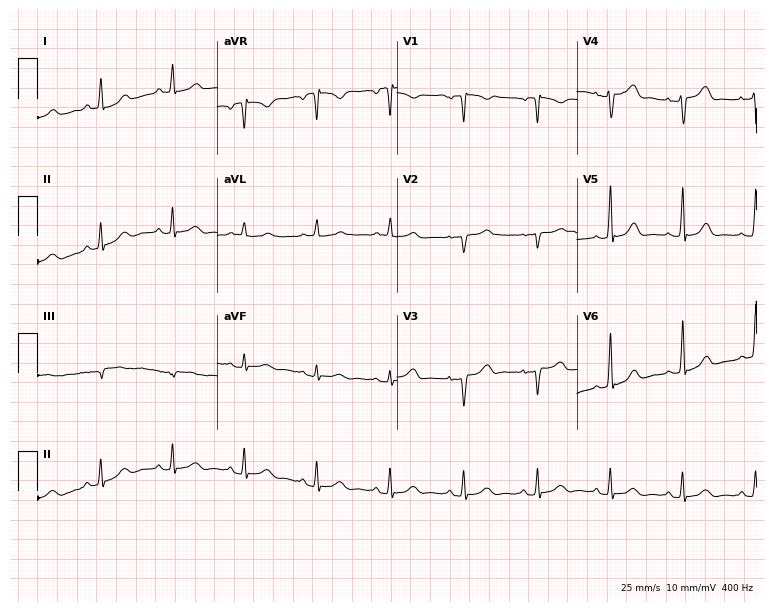
Standard 12-lead ECG recorded from a 34-year-old woman (7.3-second recording at 400 Hz). None of these six findings is recorded: first-degree AV block, right bundle branch block, left bundle branch block, sinus bradycardia, atrial fibrillation, sinus tachycardia. Other findings, if any, are not listed.